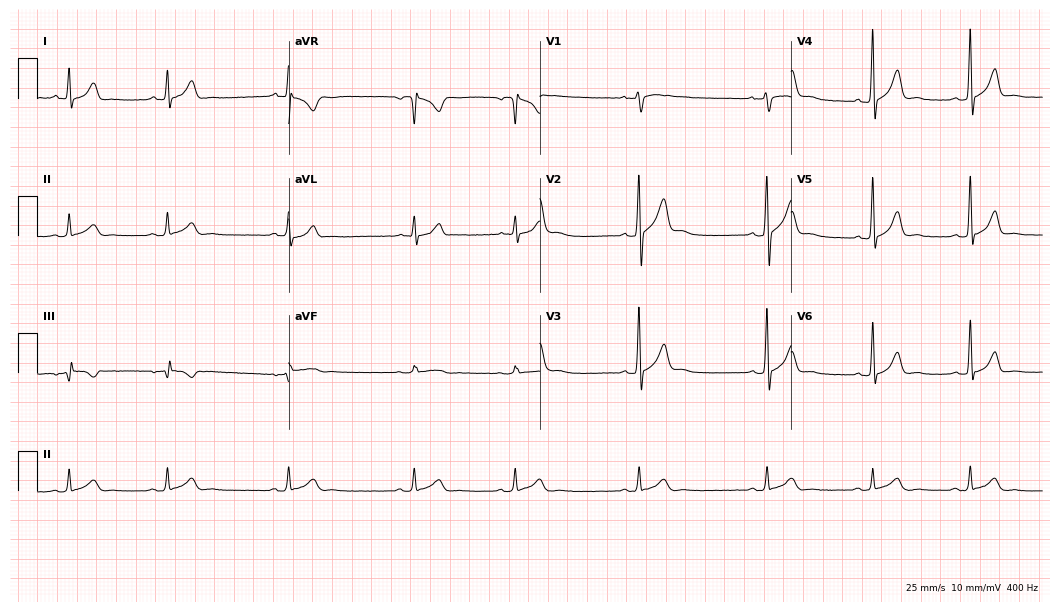
Standard 12-lead ECG recorded from a 31-year-old man. None of these six findings is recorded: first-degree AV block, right bundle branch block (RBBB), left bundle branch block (LBBB), sinus bradycardia, atrial fibrillation (AF), sinus tachycardia.